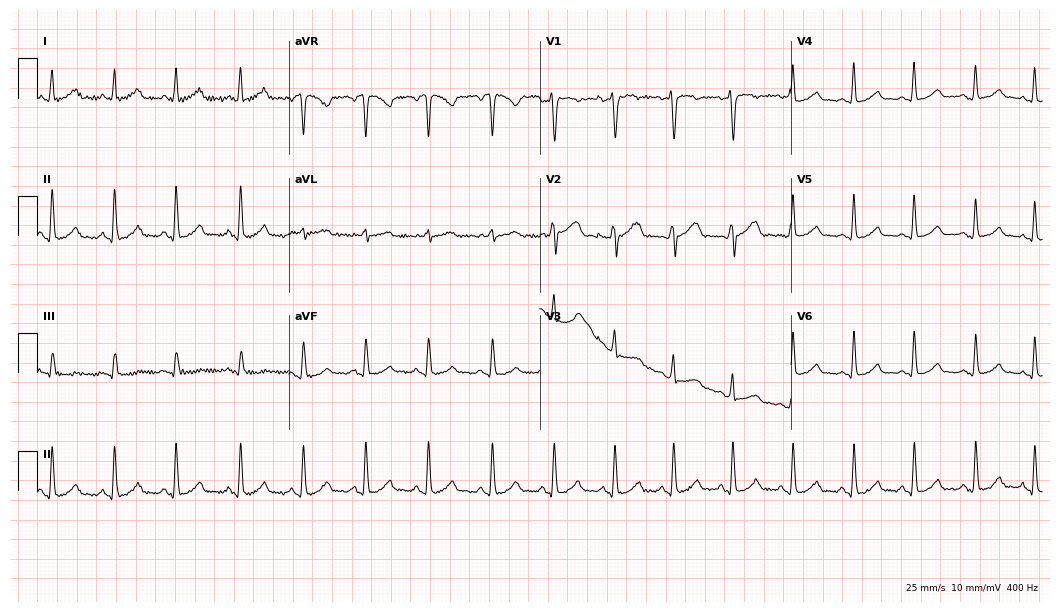
Electrocardiogram (10.2-second recording at 400 Hz), a female, 33 years old. Overall reading on record: normal ECG.